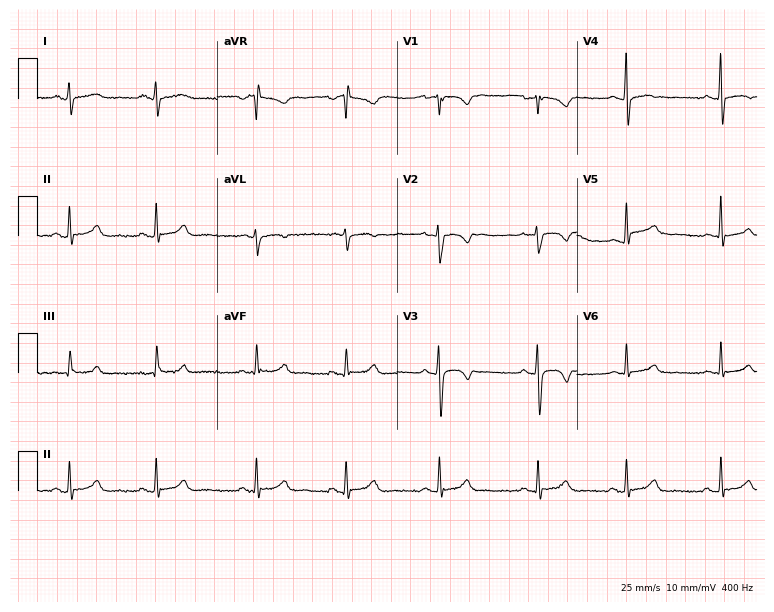
12-lead ECG from a female patient, 23 years old. Screened for six findings — first-degree AV block, right bundle branch block (RBBB), left bundle branch block (LBBB), sinus bradycardia, atrial fibrillation (AF), sinus tachycardia — none is recorded. Findings outside these six are not listed.